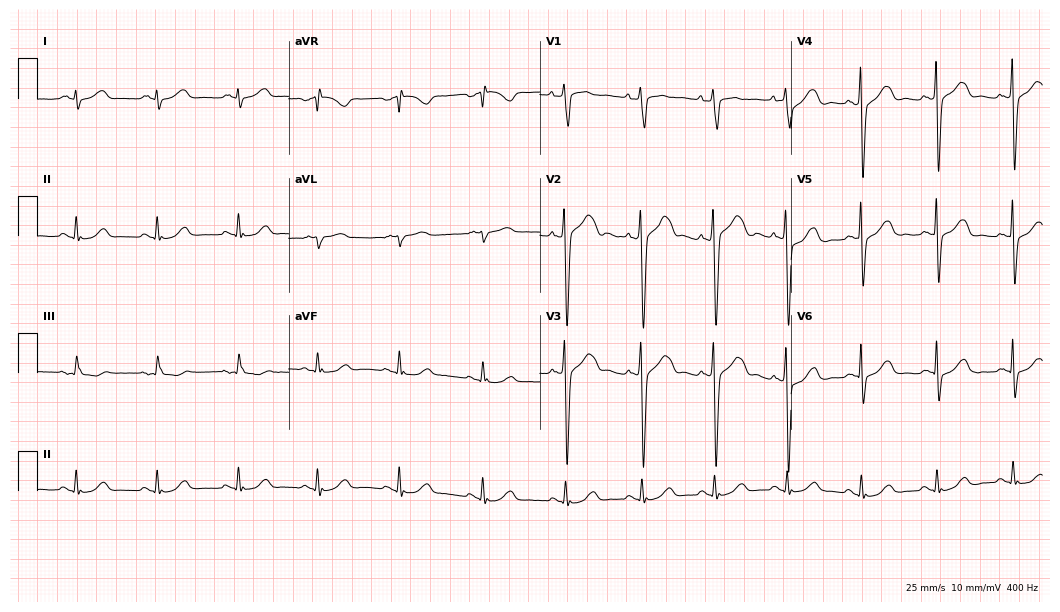
12-lead ECG from a 42-year-old man. Recorded interpretation: within normal limits.